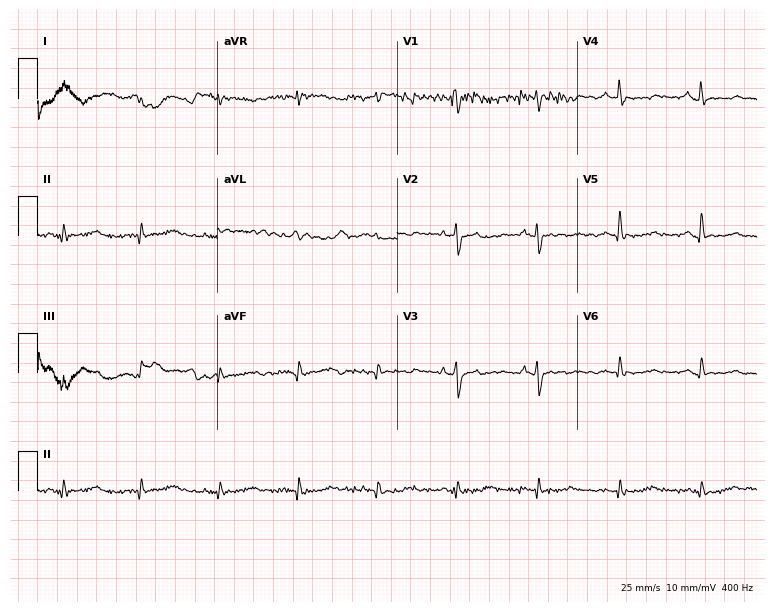
Electrocardiogram (7.3-second recording at 400 Hz), a 53-year-old man. Of the six screened findings (first-degree AV block, right bundle branch block (RBBB), left bundle branch block (LBBB), sinus bradycardia, atrial fibrillation (AF), sinus tachycardia), none is recorded. Only these six findings were labelled.